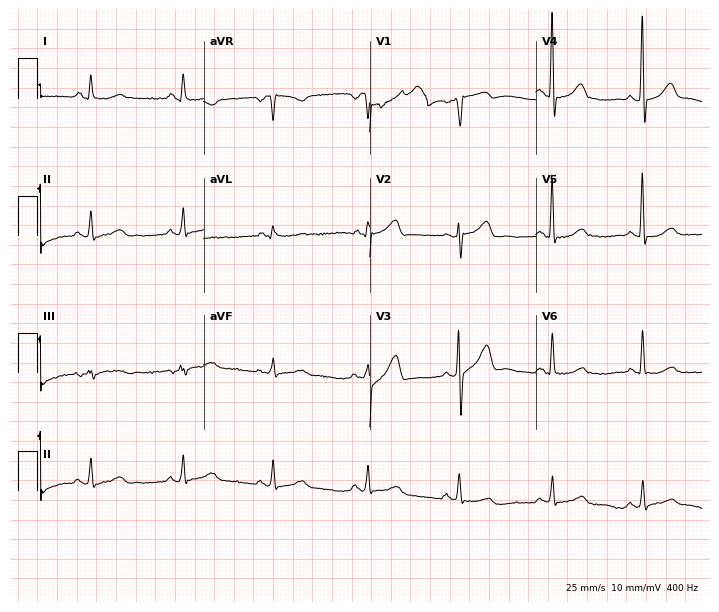
12-lead ECG from a 55-year-old male patient. Recorded interpretation: within normal limits.